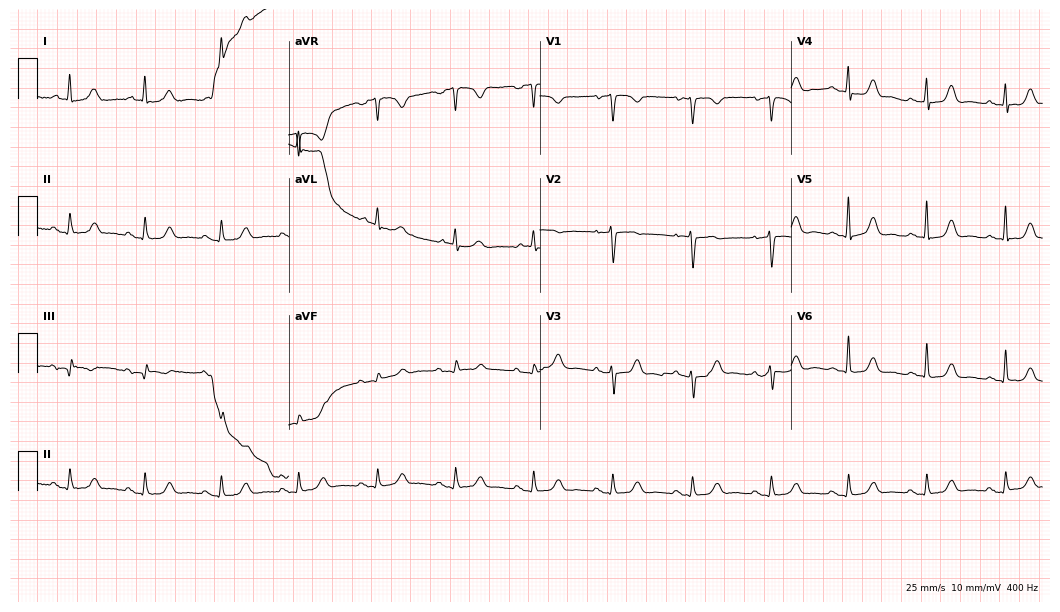
ECG (10.2-second recording at 400 Hz) — an 84-year-old female. Labelled as a normal ECG.